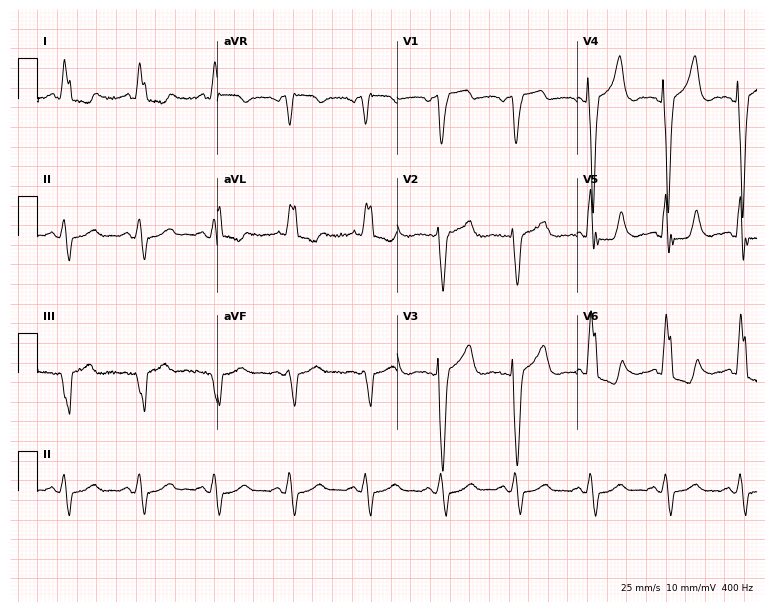
Resting 12-lead electrocardiogram. Patient: an 85-year-old female. The tracing shows left bundle branch block (LBBB).